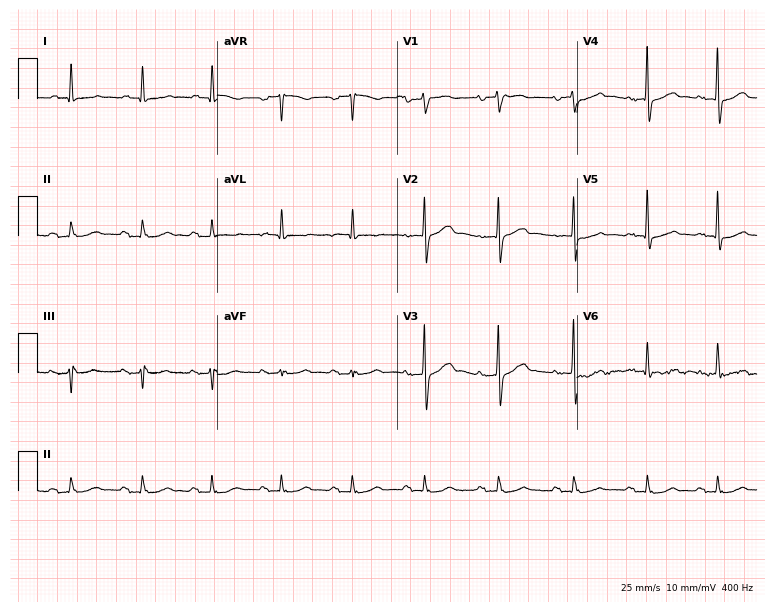
Resting 12-lead electrocardiogram. Patient: an 83-year-old male. None of these six findings is recorded: first-degree AV block, right bundle branch block, left bundle branch block, sinus bradycardia, atrial fibrillation, sinus tachycardia. Findings outside these six are not listed.